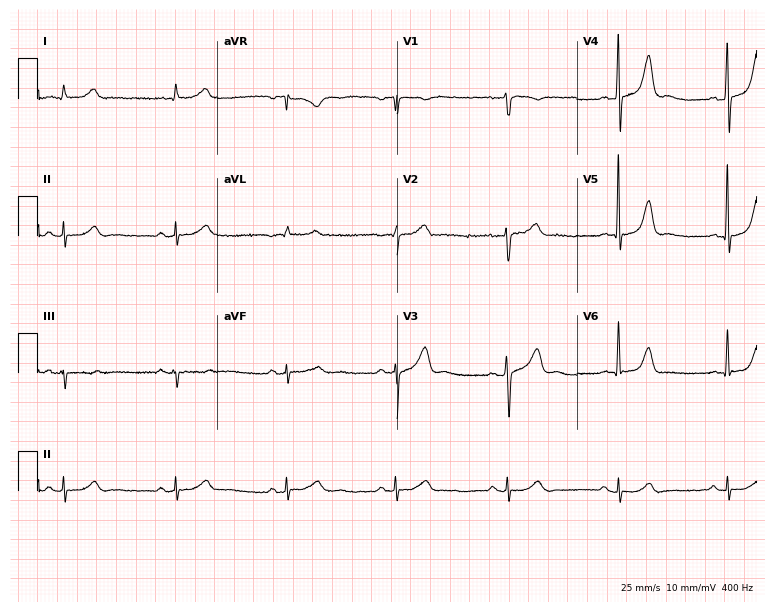
12-lead ECG from a 70-year-old male (7.3-second recording at 400 Hz). Recorded interpretation: within normal limits.